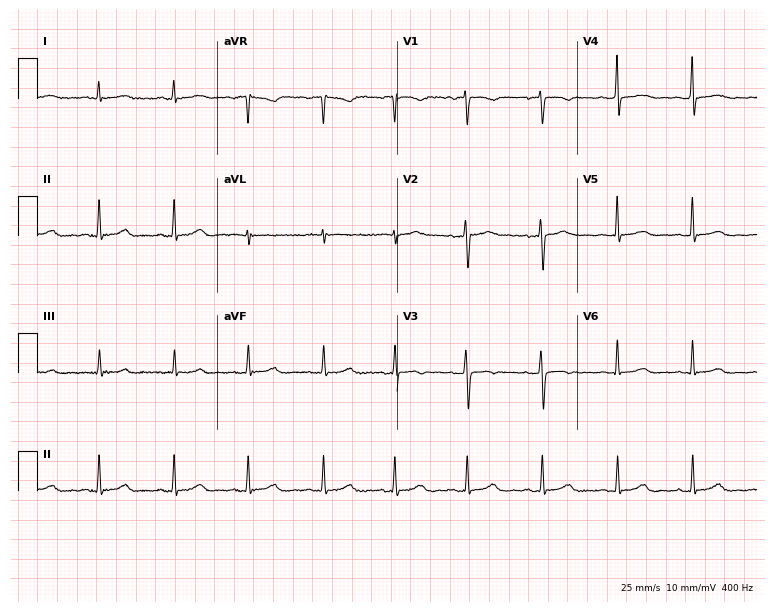
12-lead ECG from a 44-year-old woman (7.3-second recording at 400 Hz). Recorded interpretation: within normal limits.